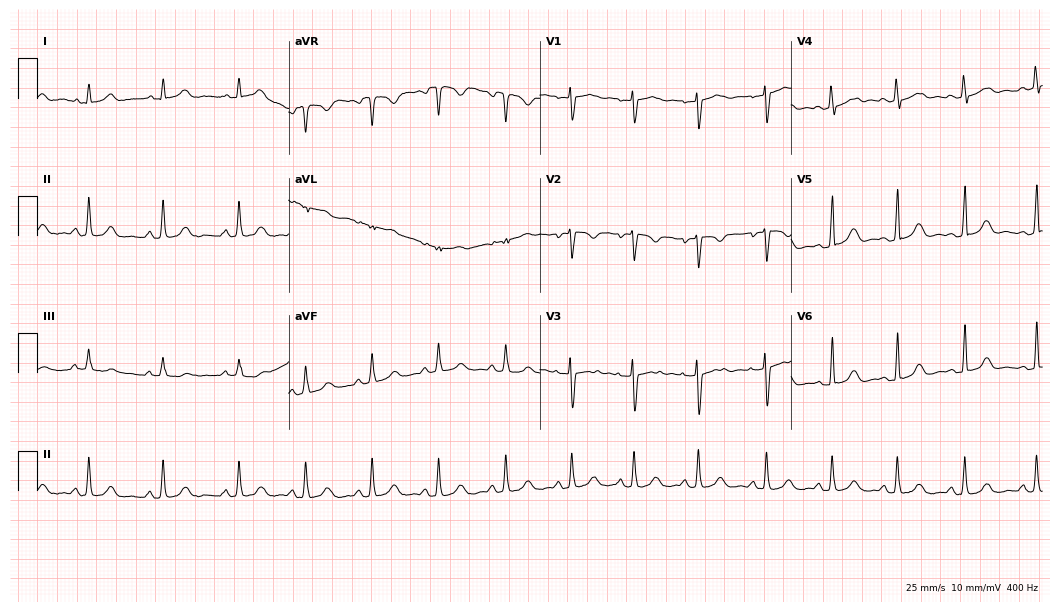
12-lead ECG (10.2-second recording at 400 Hz) from a woman, 27 years old. Screened for six findings — first-degree AV block, right bundle branch block, left bundle branch block, sinus bradycardia, atrial fibrillation, sinus tachycardia — none is recorded. Findings outside these six are not listed.